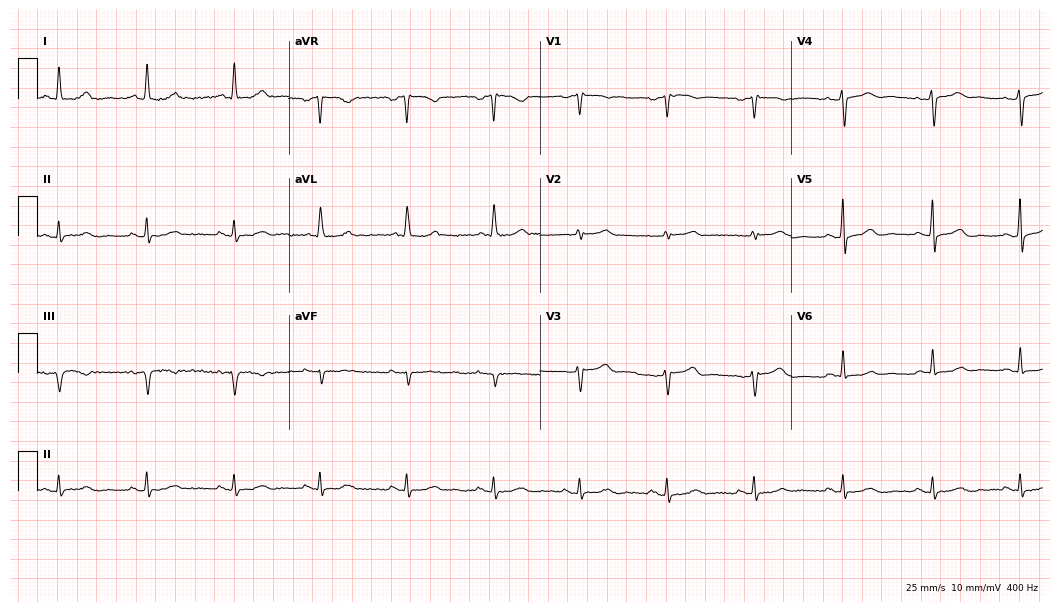
Standard 12-lead ECG recorded from a woman, 69 years old. Read as a normal ECG.